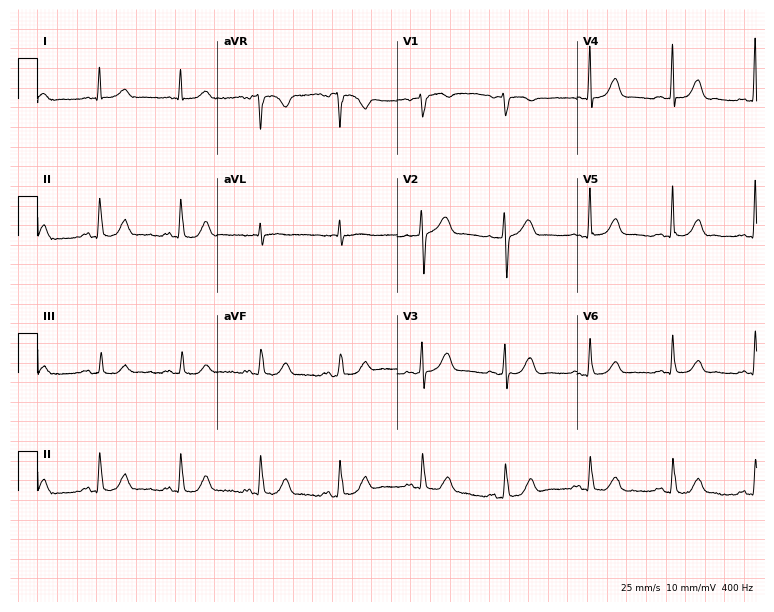
Standard 12-lead ECG recorded from a female patient, 82 years old. Read as a normal ECG.